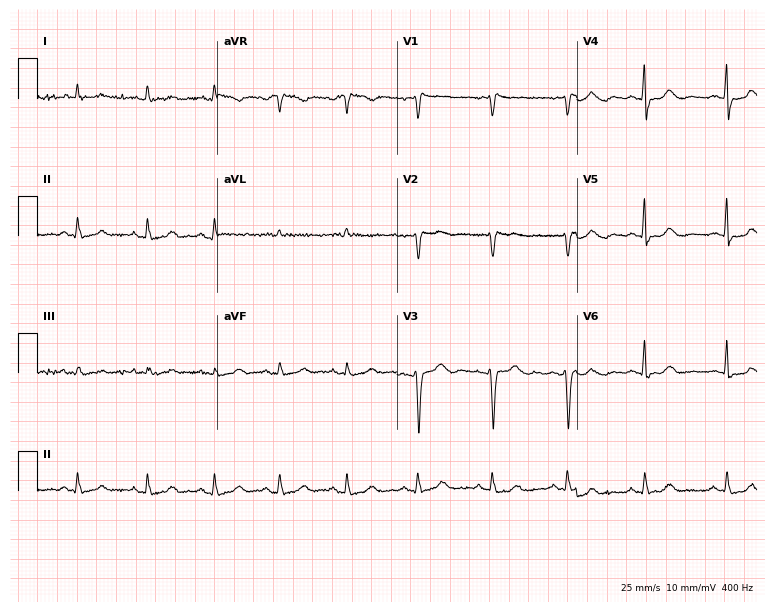
ECG (7.3-second recording at 400 Hz) — a female patient, 67 years old. Screened for six findings — first-degree AV block, right bundle branch block (RBBB), left bundle branch block (LBBB), sinus bradycardia, atrial fibrillation (AF), sinus tachycardia — none is recorded.